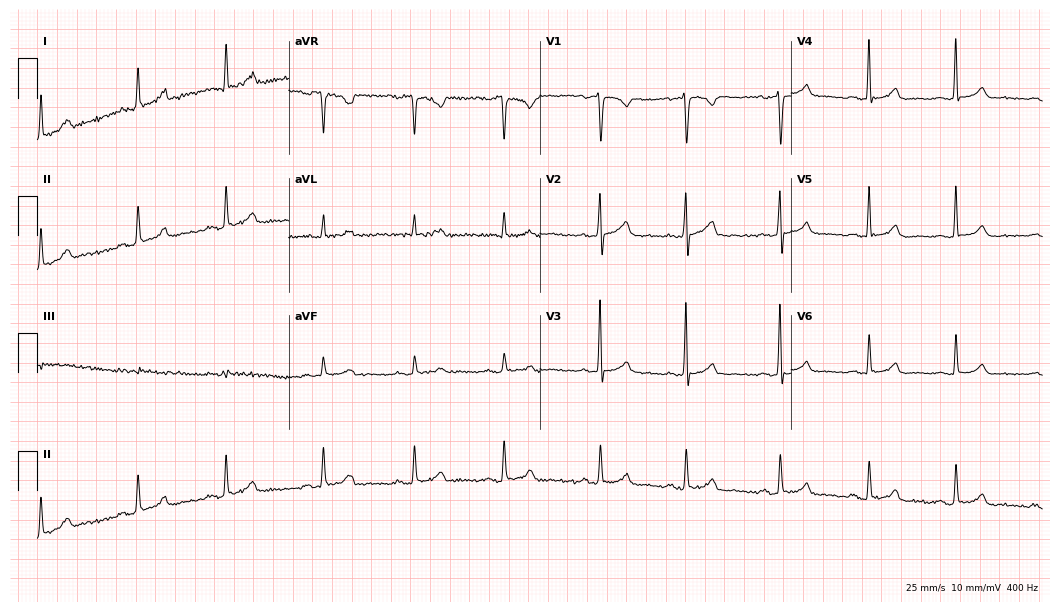
Electrocardiogram, a female, 27 years old. Overall reading on record: normal ECG.